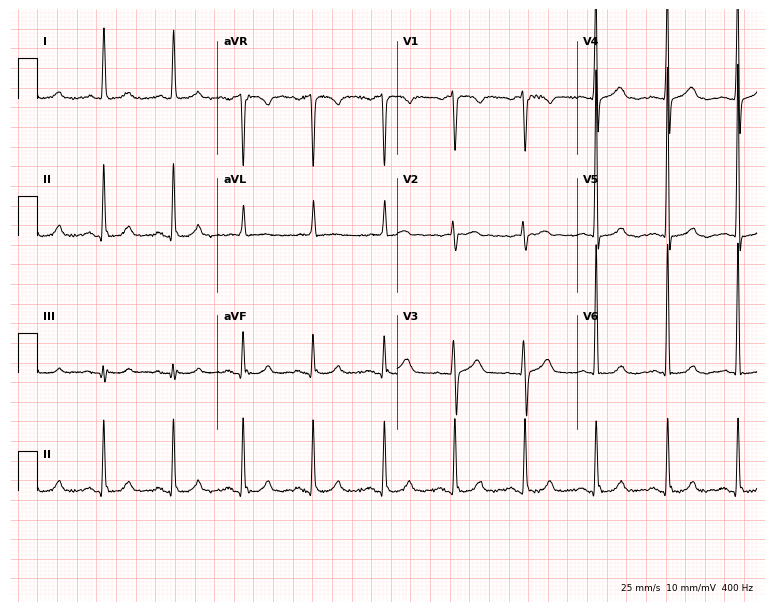
12-lead ECG (7.3-second recording at 400 Hz) from a 61-year-old female patient. Screened for six findings — first-degree AV block, right bundle branch block (RBBB), left bundle branch block (LBBB), sinus bradycardia, atrial fibrillation (AF), sinus tachycardia — none is recorded.